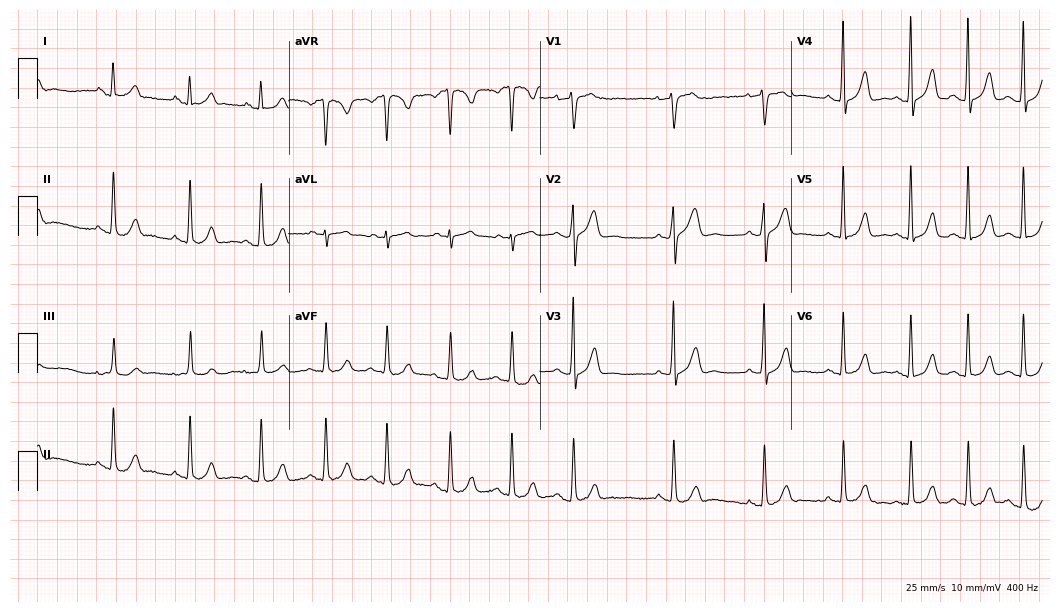
Standard 12-lead ECG recorded from a woman, 29 years old. Read as a normal ECG.